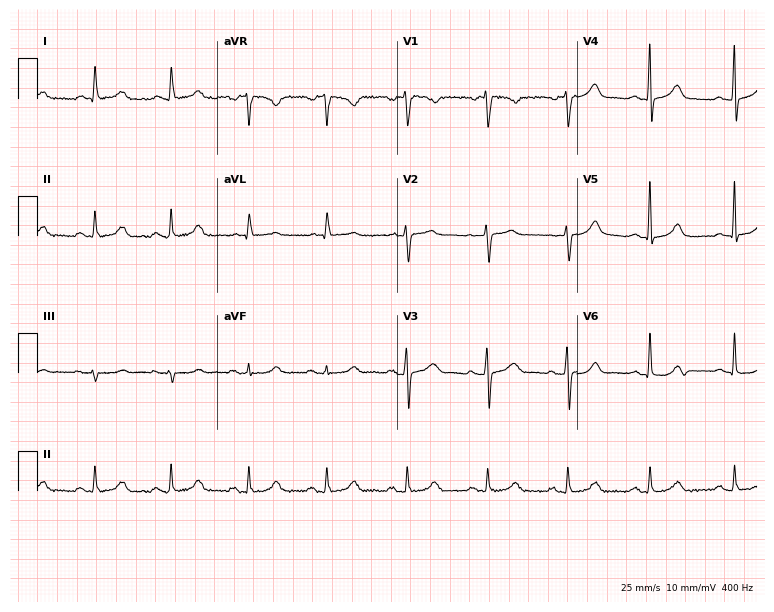
Electrocardiogram (7.3-second recording at 400 Hz), a woman, 50 years old. Overall reading on record: normal ECG.